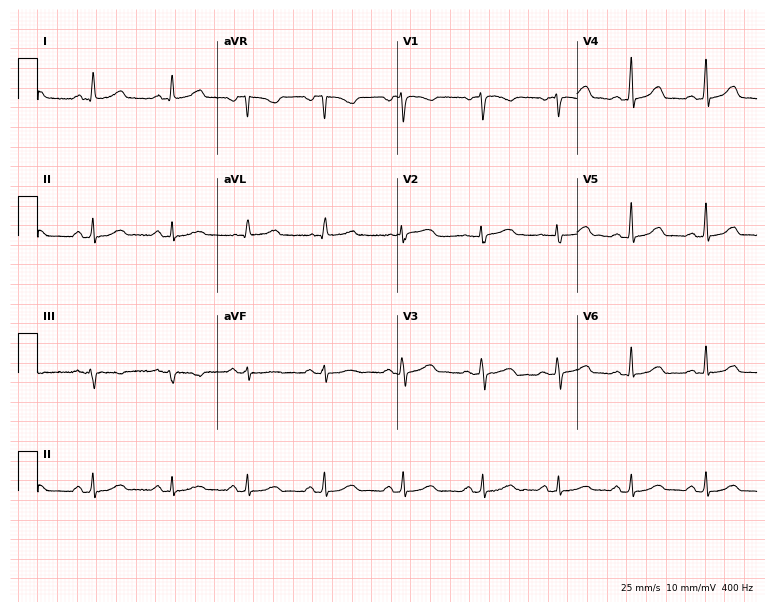
ECG (7.3-second recording at 400 Hz) — a female, 48 years old. Labelled as a normal ECG.